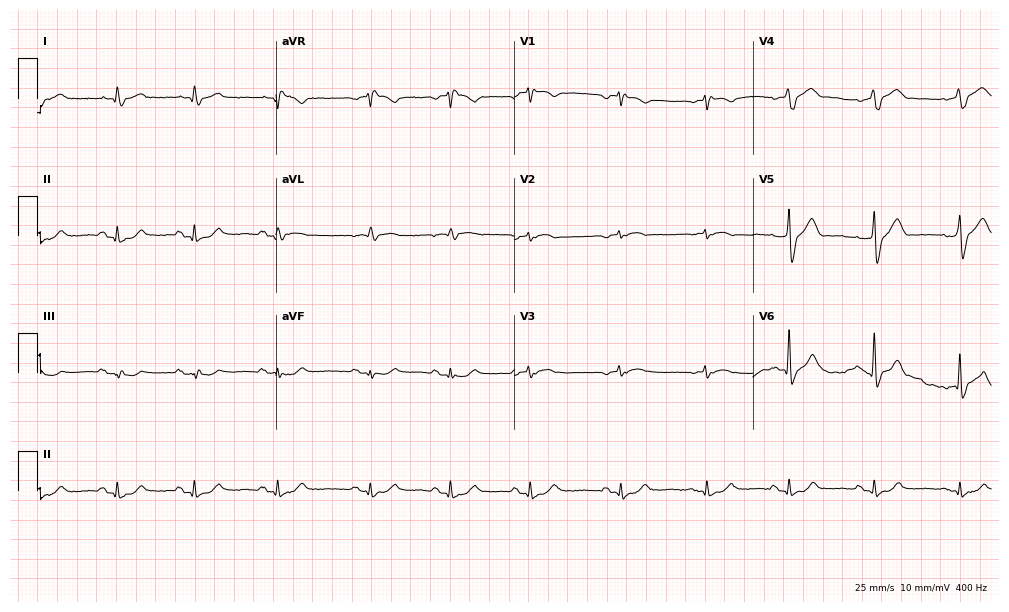
12-lead ECG from an 83-year-old male patient. Findings include right bundle branch block.